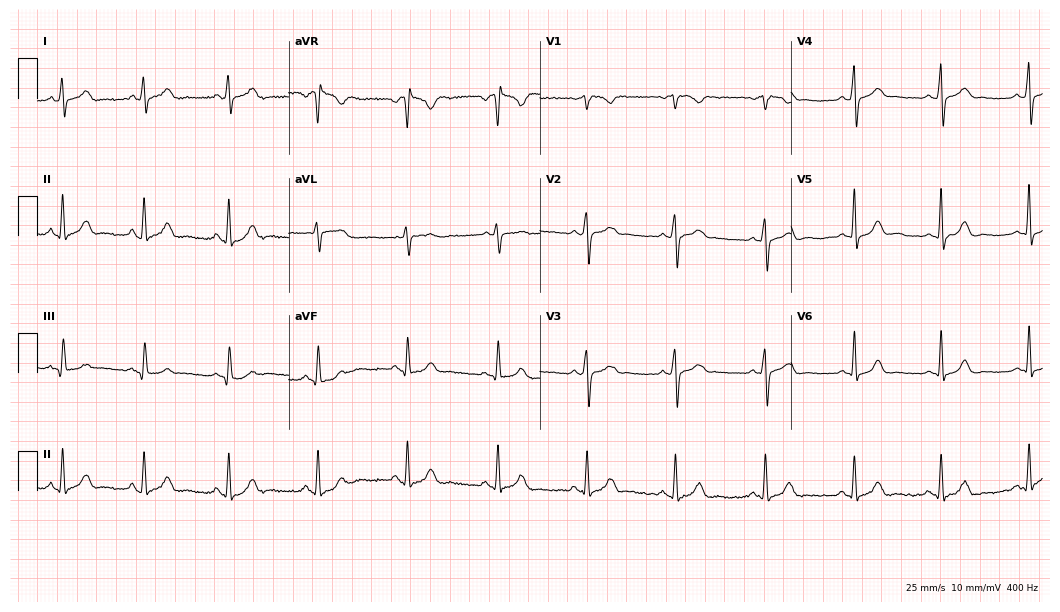
12-lead ECG from a female patient, 30 years old (10.2-second recording at 400 Hz). Recorded interpretation: within normal limits.